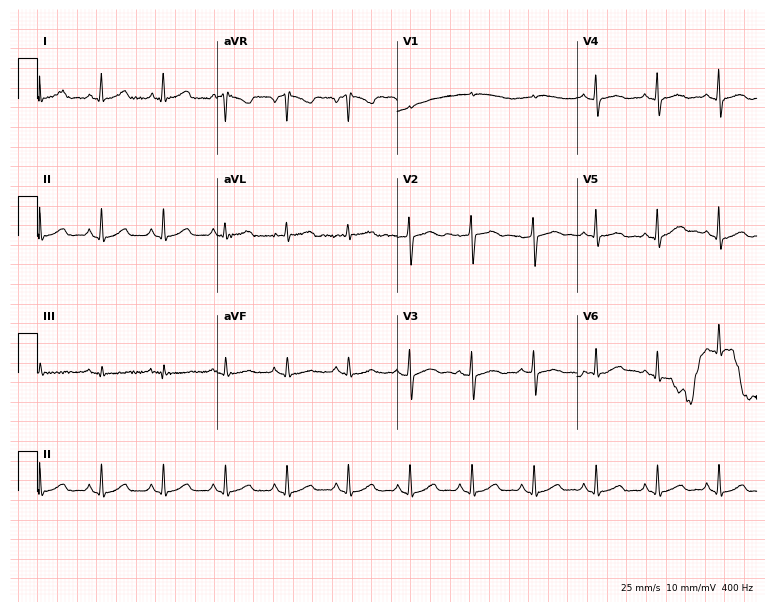
Standard 12-lead ECG recorded from a woman, 60 years old (7.3-second recording at 400 Hz). Read as a normal ECG.